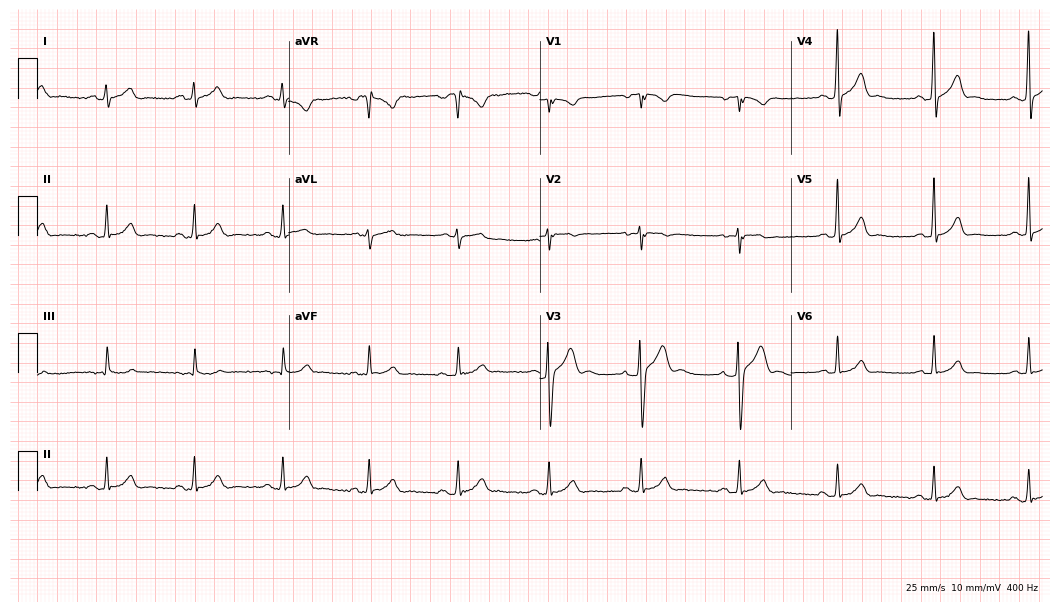
Standard 12-lead ECG recorded from a 22-year-old male patient. Read as a normal ECG.